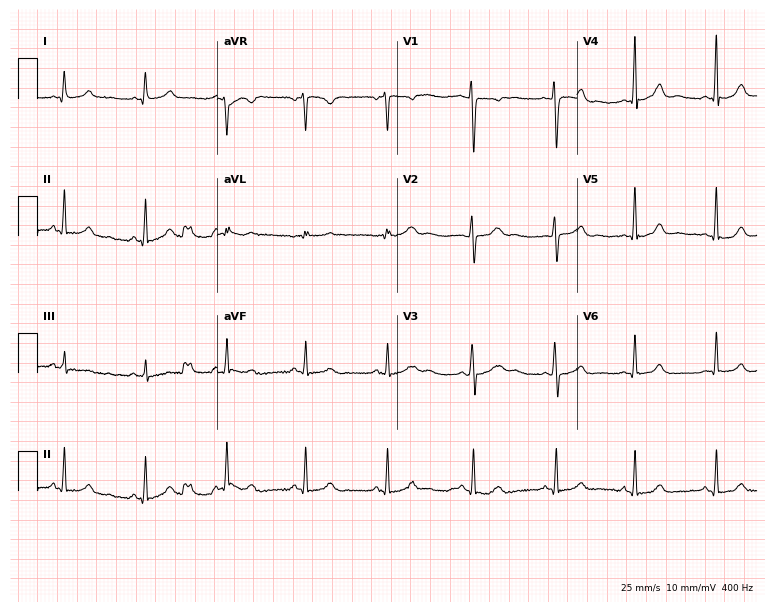
Electrocardiogram (7.3-second recording at 400 Hz), a 41-year-old male patient. Overall reading on record: normal ECG.